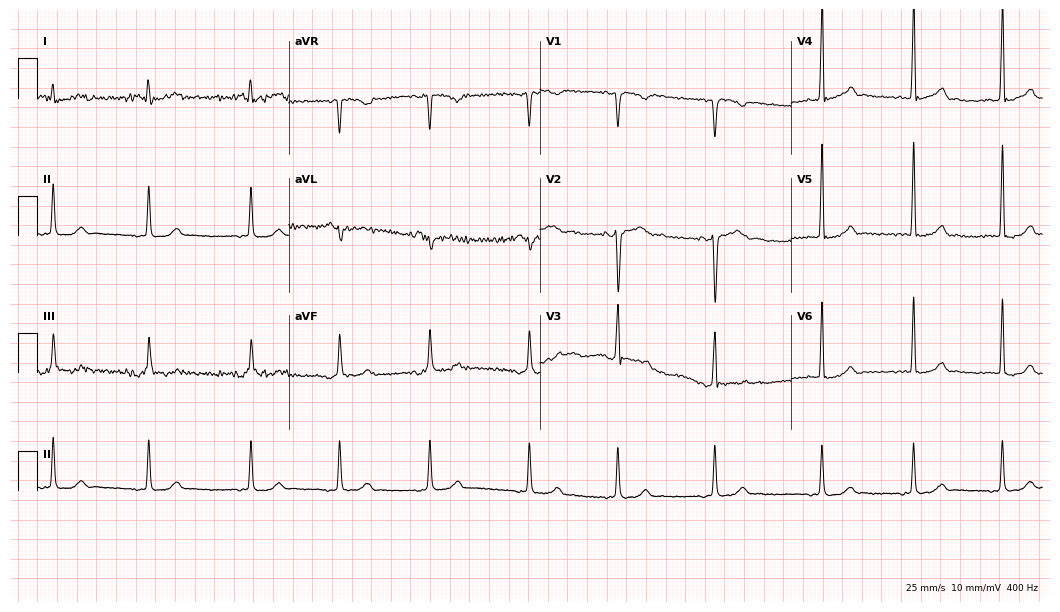
Electrocardiogram (10.2-second recording at 400 Hz), a 32-year-old male patient. Overall reading on record: normal ECG.